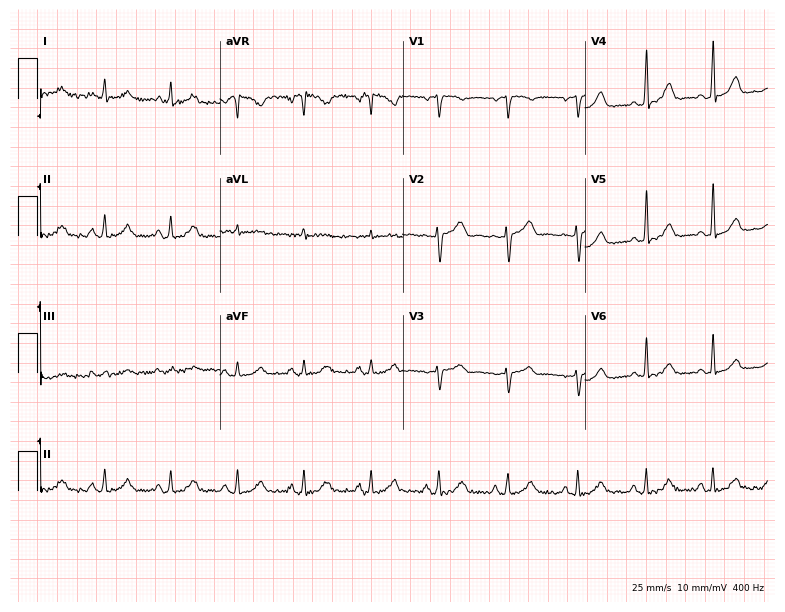
Electrocardiogram, a female, 45 years old. Of the six screened findings (first-degree AV block, right bundle branch block, left bundle branch block, sinus bradycardia, atrial fibrillation, sinus tachycardia), none is recorded.